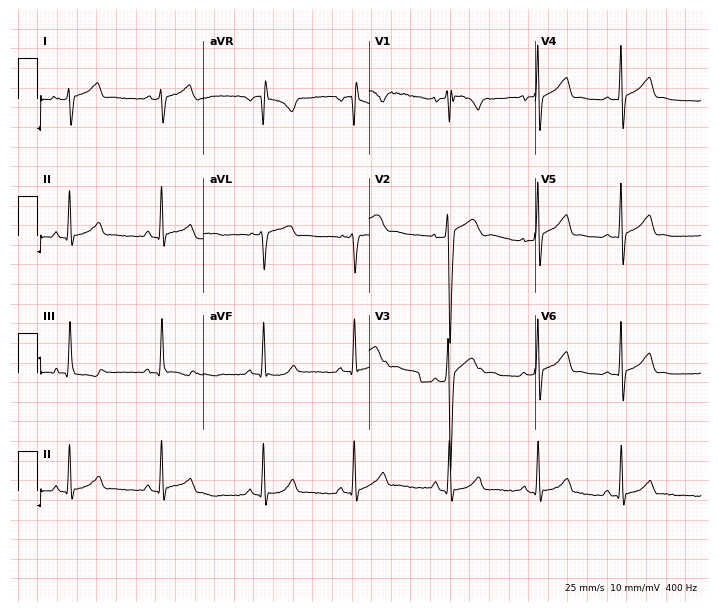
12-lead ECG (6.8-second recording at 400 Hz) from a 17-year-old man. Labelled as a normal ECG.